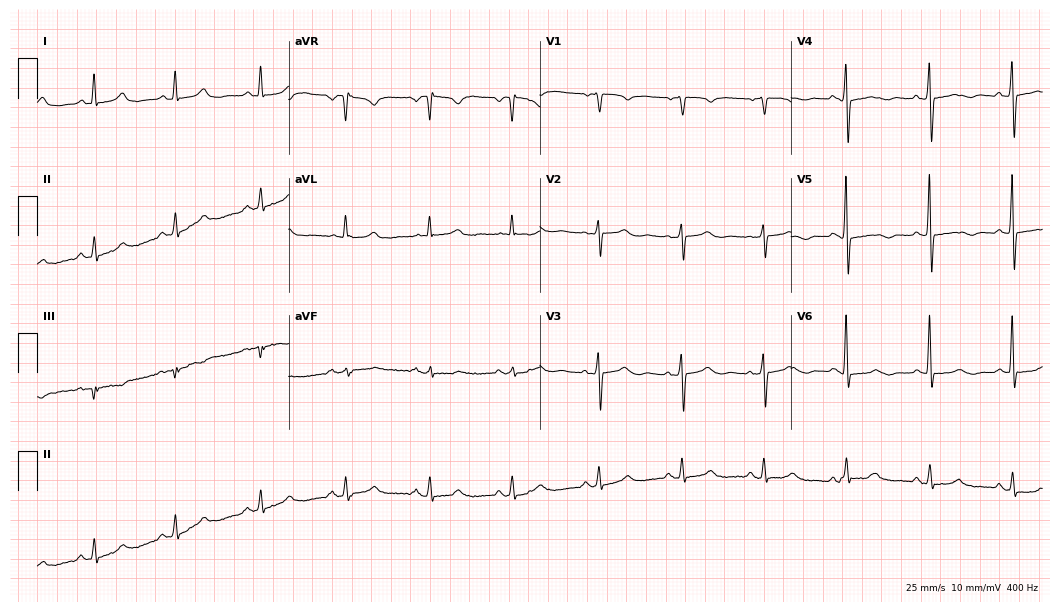
12-lead ECG from a 53-year-old female patient (10.2-second recording at 400 Hz). No first-degree AV block, right bundle branch block (RBBB), left bundle branch block (LBBB), sinus bradycardia, atrial fibrillation (AF) or sinus tachycardia recorded for this tracing. Only these six findings were labelled.